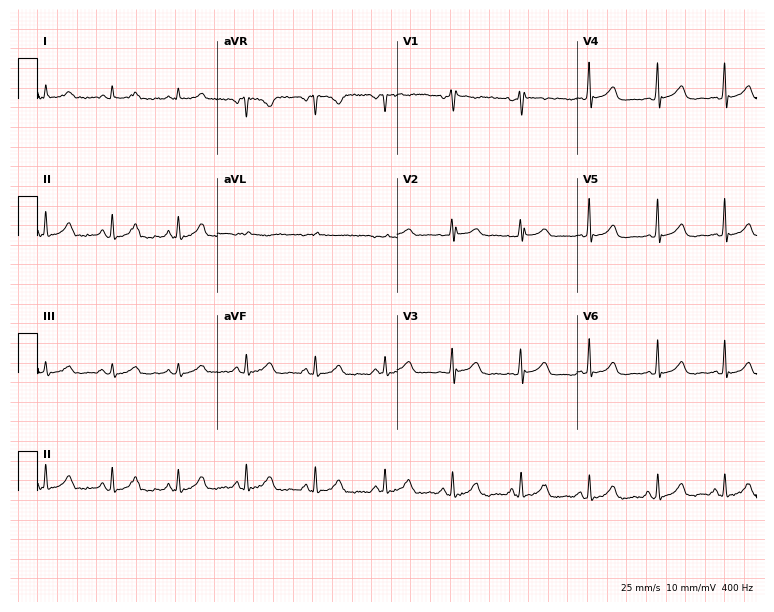
Electrocardiogram (7.3-second recording at 400 Hz), a 48-year-old female. Of the six screened findings (first-degree AV block, right bundle branch block, left bundle branch block, sinus bradycardia, atrial fibrillation, sinus tachycardia), none is recorded.